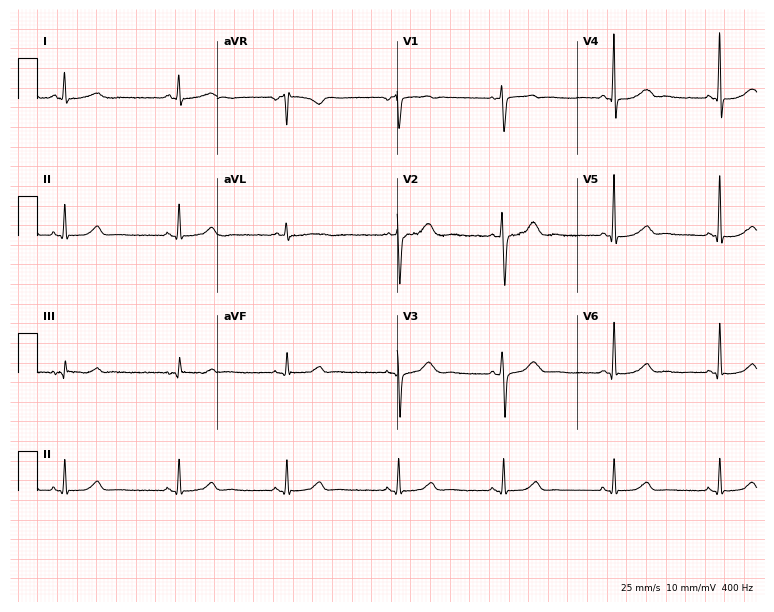
Electrocardiogram, a woman, 43 years old. Overall reading on record: normal ECG.